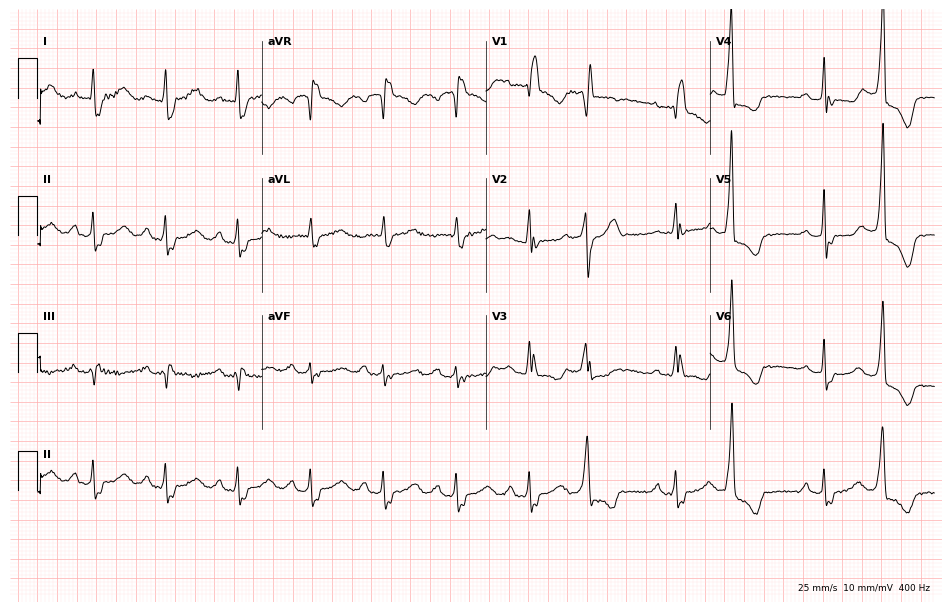
12-lead ECG from a 63-year-old woman. Findings include first-degree AV block, right bundle branch block (RBBB).